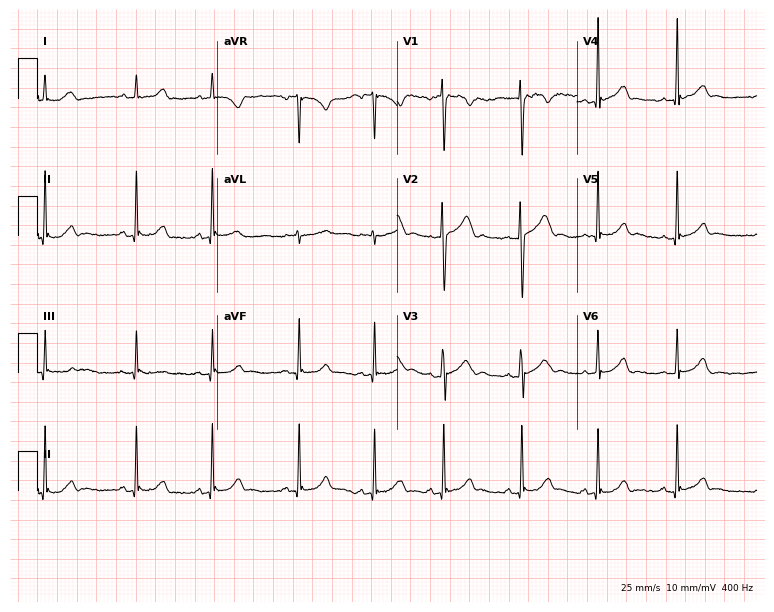
Standard 12-lead ECG recorded from a woman, 20 years old. Read as a normal ECG.